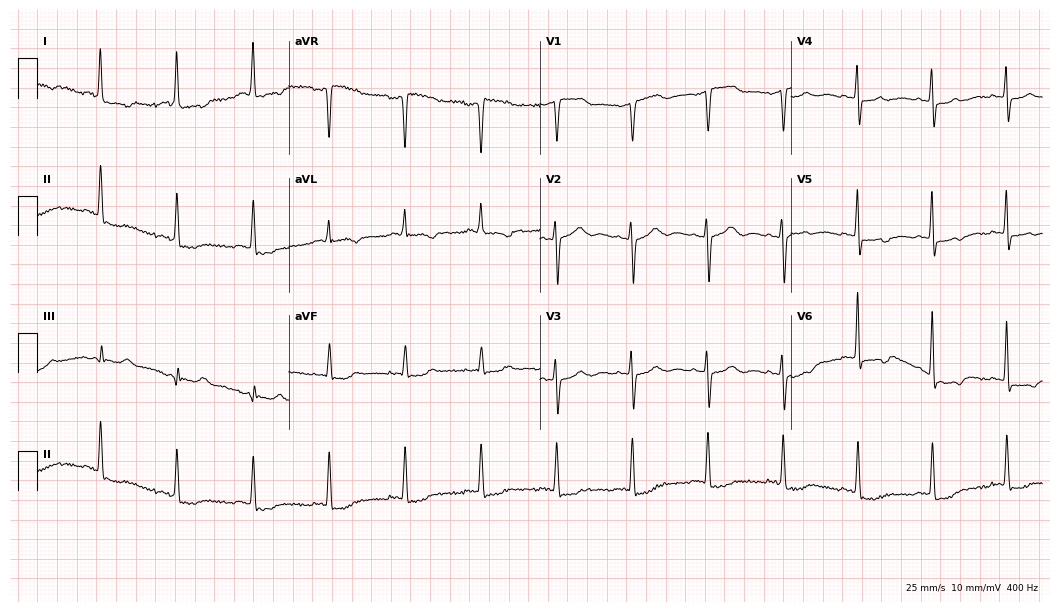
Standard 12-lead ECG recorded from a 65-year-old female patient. None of these six findings is recorded: first-degree AV block, right bundle branch block, left bundle branch block, sinus bradycardia, atrial fibrillation, sinus tachycardia.